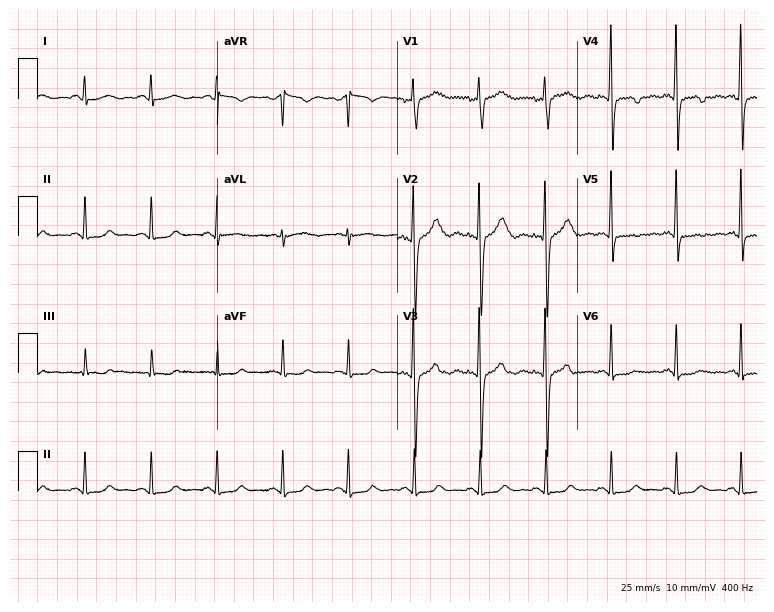
Resting 12-lead electrocardiogram. Patient: a female, 53 years old. None of these six findings is recorded: first-degree AV block, right bundle branch block, left bundle branch block, sinus bradycardia, atrial fibrillation, sinus tachycardia. Findings outside these six are not listed.